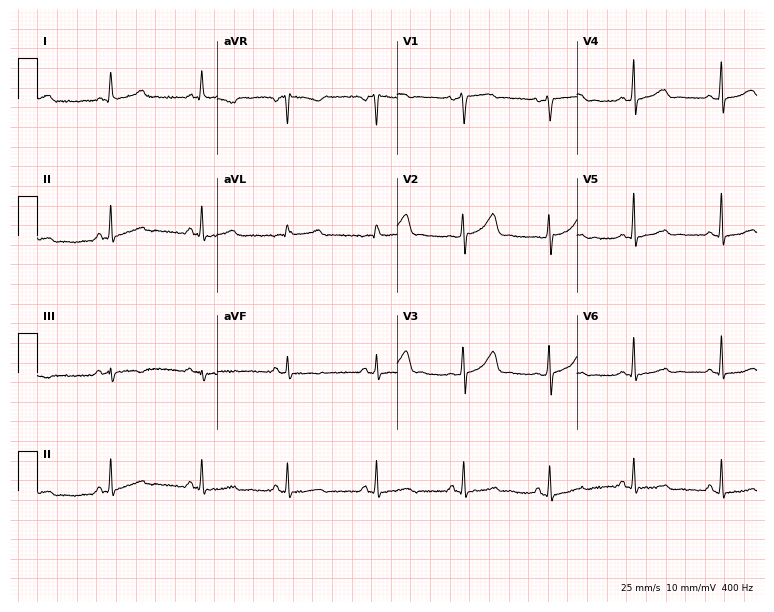
Resting 12-lead electrocardiogram (7.3-second recording at 400 Hz). Patient: a 56-year-old female. Read as a normal ECG.